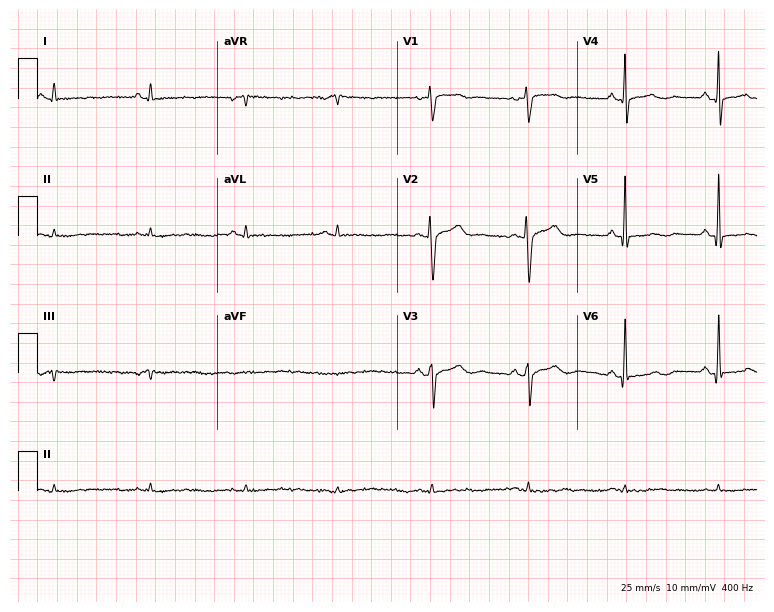
12-lead ECG from a female, 40 years old (7.3-second recording at 400 Hz). No first-degree AV block, right bundle branch block, left bundle branch block, sinus bradycardia, atrial fibrillation or sinus tachycardia recorded for this tracing.